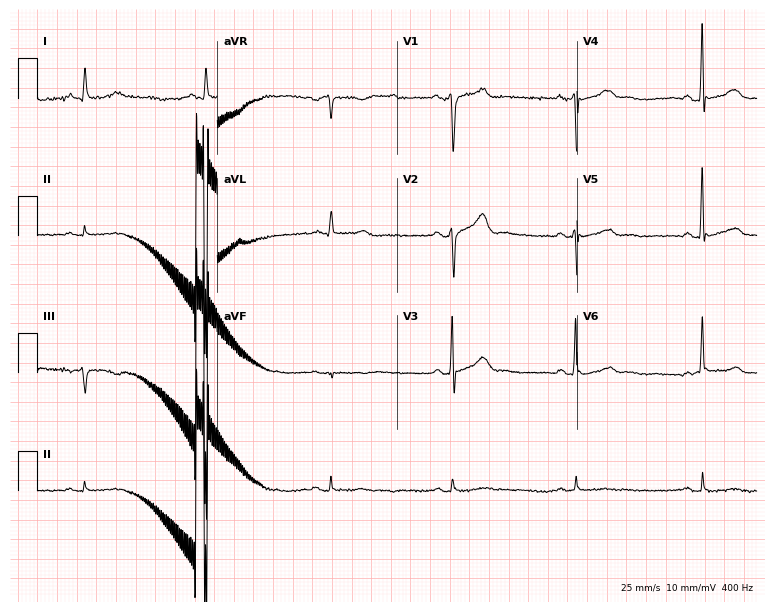
Resting 12-lead electrocardiogram (7.3-second recording at 400 Hz). Patient: a male, 57 years old. The tracing shows sinus bradycardia (a sinus rate of 50 beats per minute or less).